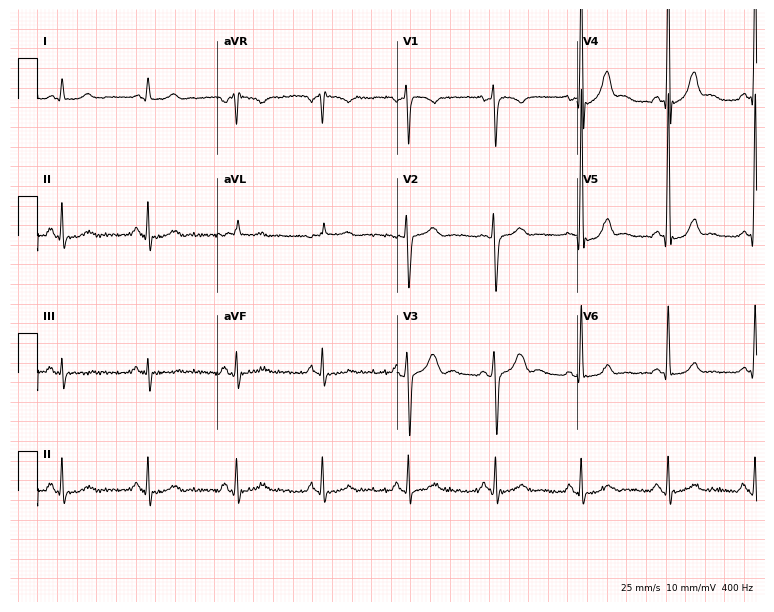
ECG (7.3-second recording at 400 Hz) — a male, 51 years old. Labelled as a normal ECG.